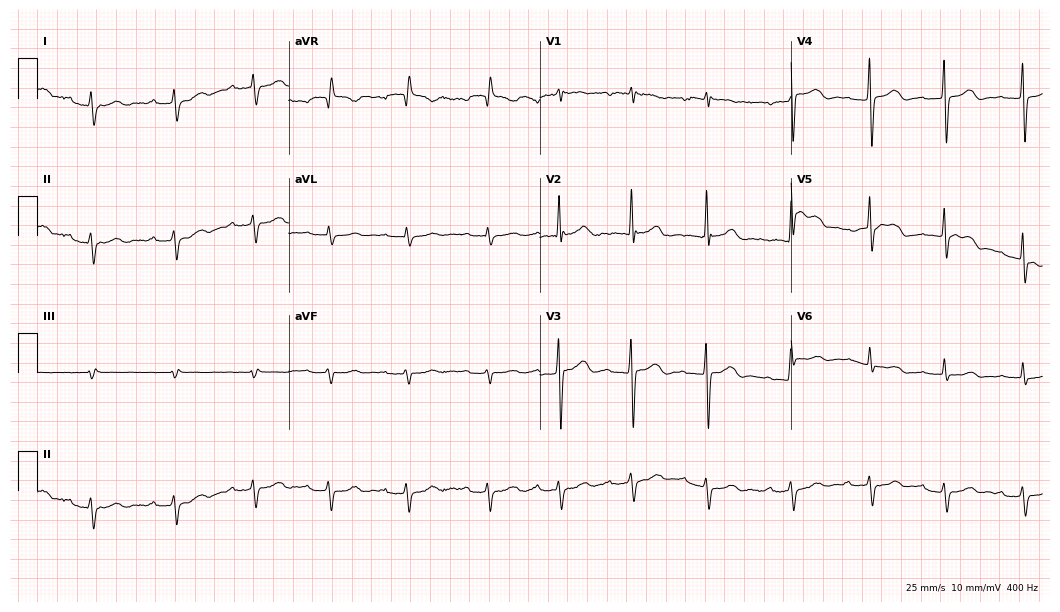
ECG (10.2-second recording at 400 Hz) — an 85-year-old woman. Findings include first-degree AV block.